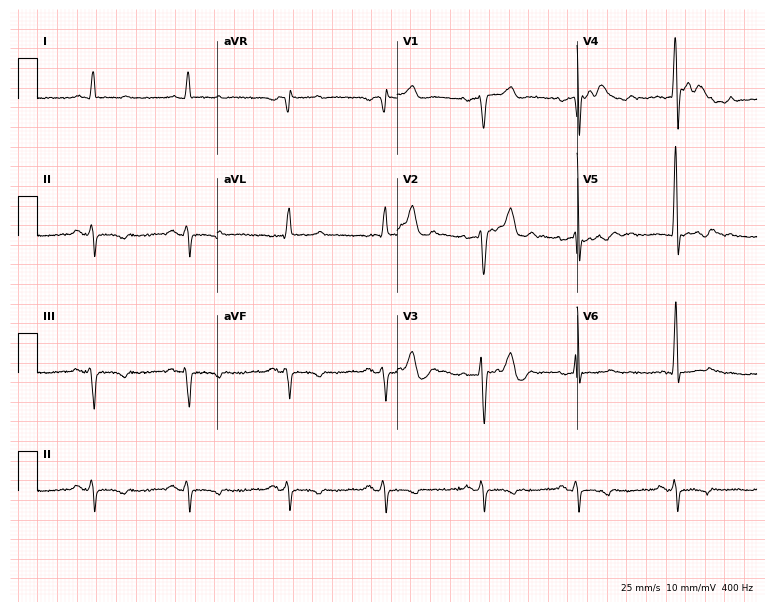
12-lead ECG (7.3-second recording at 400 Hz) from a male, 42 years old. Screened for six findings — first-degree AV block, right bundle branch block, left bundle branch block, sinus bradycardia, atrial fibrillation, sinus tachycardia — none is recorded. Only these six findings were labelled.